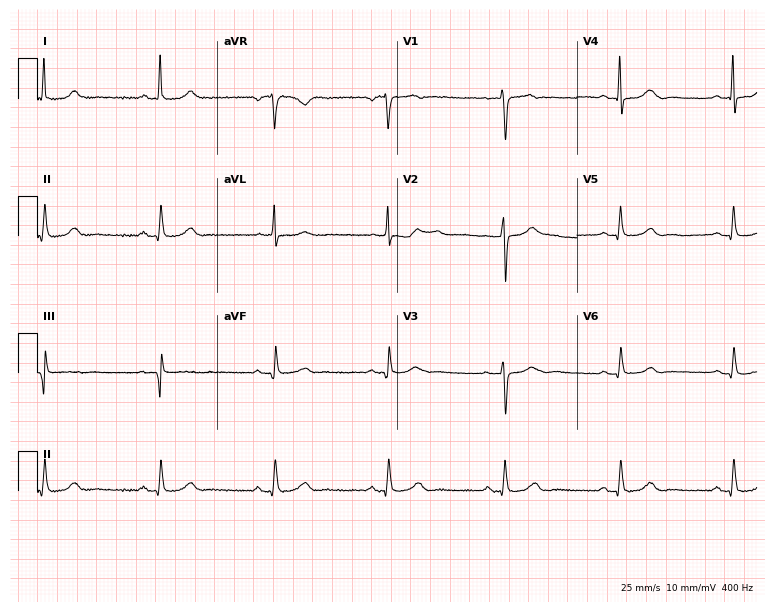
ECG — a female, 67 years old. Labelled as a normal ECG.